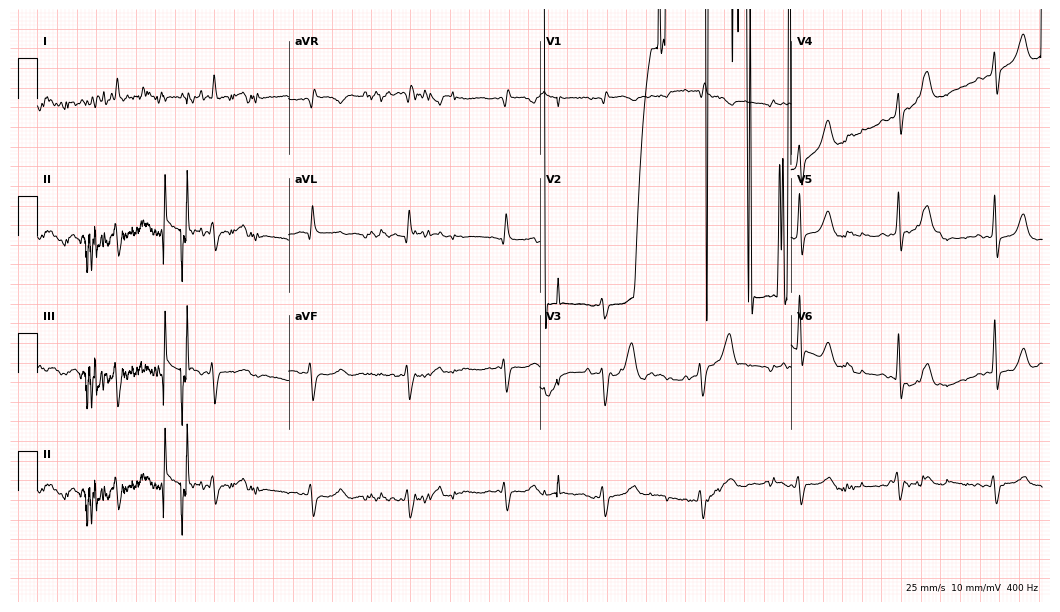
ECG — an 86-year-old woman. Screened for six findings — first-degree AV block, right bundle branch block (RBBB), left bundle branch block (LBBB), sinus bradycardia, atrial fibrillation (AF), sinus tachycardia — none is recorded. Findings outside these six are not listed.